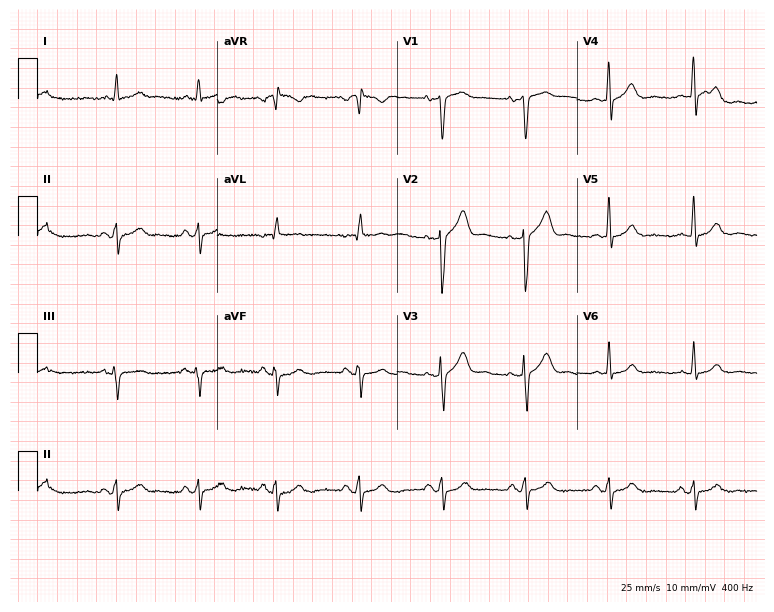
Standard 12-lead ECG recorded from a man, 71 years old (7.3-second recording at 400 Hz). None of these six findings is recorded: first-degree AV block, right bundle branch block (RBBB), left bundle branch block (LBBB), sinus bradycardia, atrial fibrillation (AF), sinus tachycardia. Other findings, if any, are not listed.